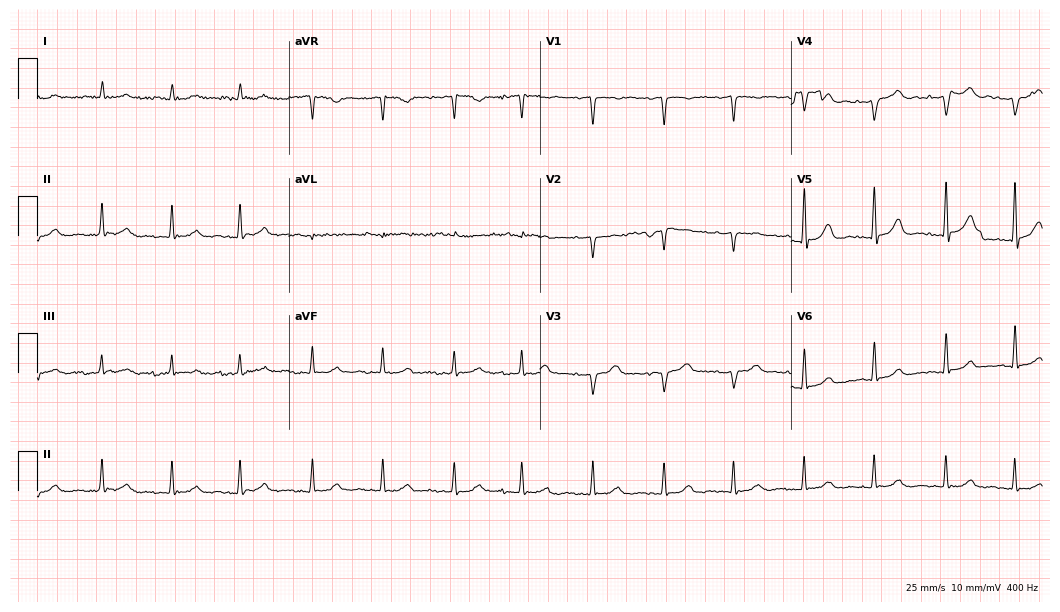
ECG (10.2-second recording at 400 Hz) — a 63-year-old man. Screened for six findings — first-degree AV block, right bundle branch block, left bundle branch block, sinus bradycardia, atrial fibrillation, sinus tachycardia — none is recorded.